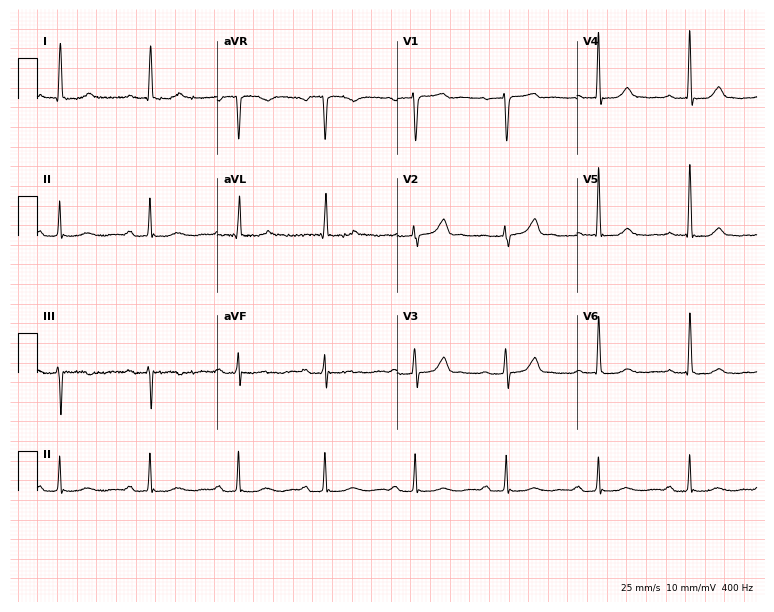
Resting 12-lead electrocardiogram. Patient: a female, 81 years old. The tracing shows first-degree AV block.